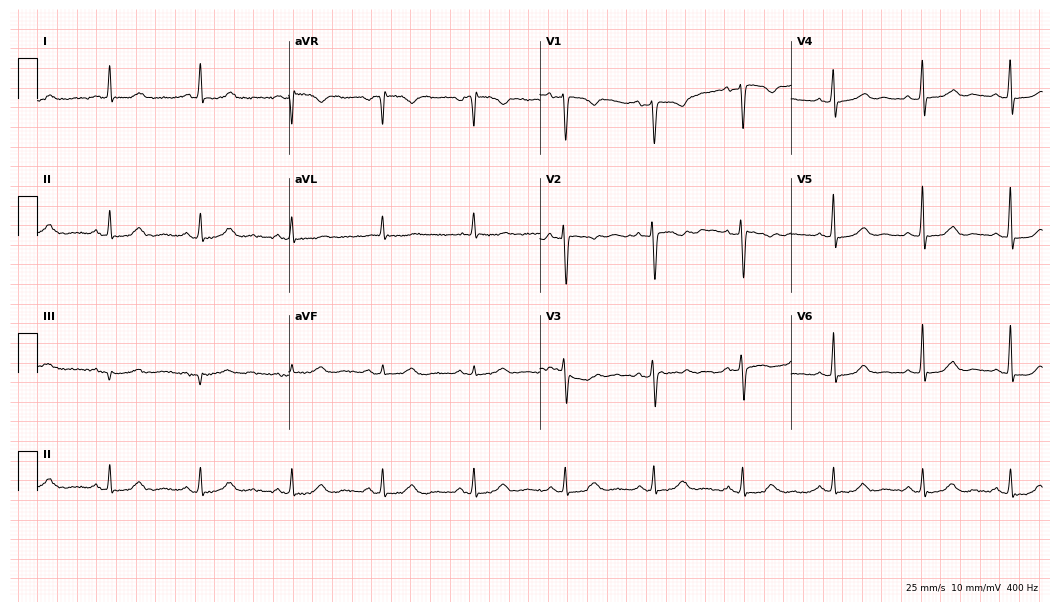
12-lead ECG from a woman, 43 years old. Labelled as a normal ECG.